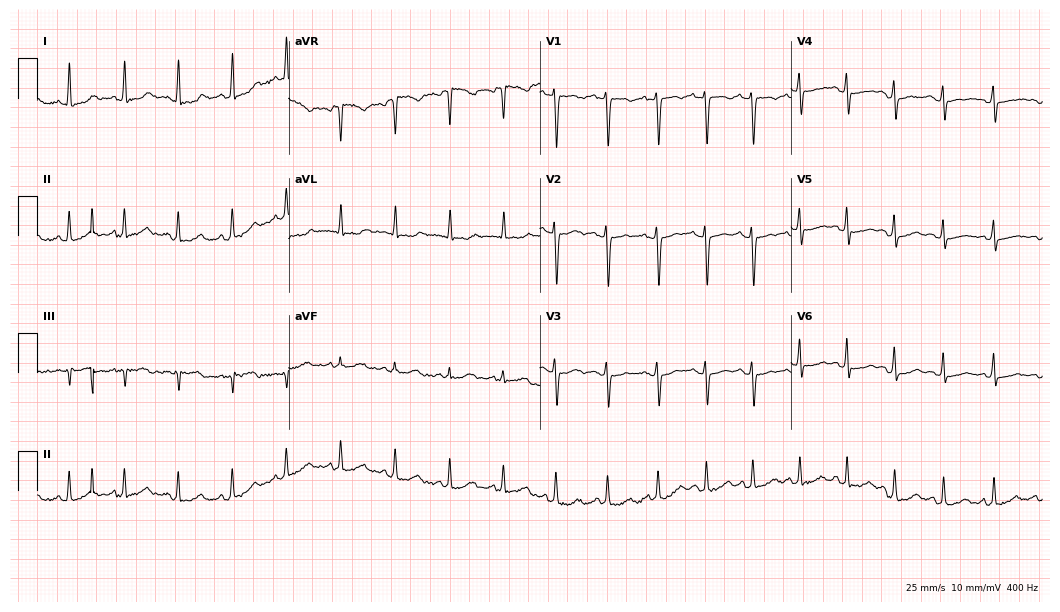
12-lead ECG from a 29-year-old female. Findings include sinus tachycardia (a sinus rate of 100 beats per minute or more).